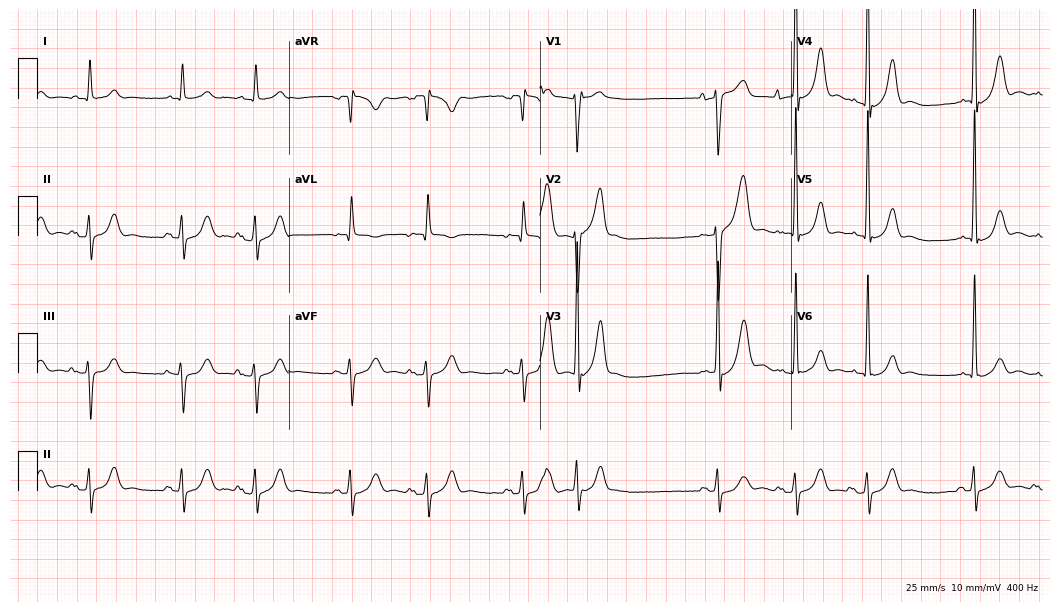
12-lead ECG from an 82-year-old male patient (10.2-second recording at 400 Hz). No first-degree AV block, right bundle branch block (RBBB), left bundle branch block (LBBB), sinus bradycardia, atrial fibrillation (AF) or sinus tachycardia recorded for this tracing.